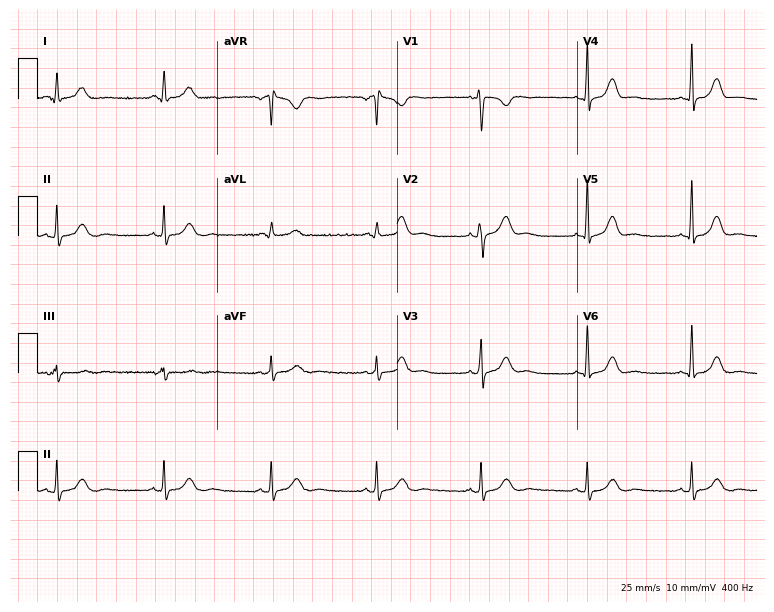
12-lead ECG (7.3-second recording at 400 Hz) from a 31-year-old female. Labelled as a normal ECG.